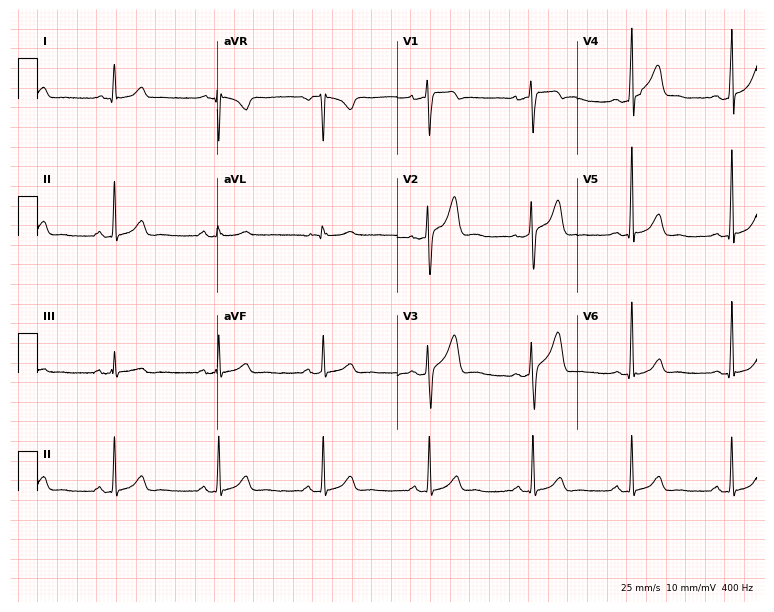
Electrocardiogram (7.3-second recording at 400 Hz), a 37-year-old male patient. Overall reading on record: normal ECG.